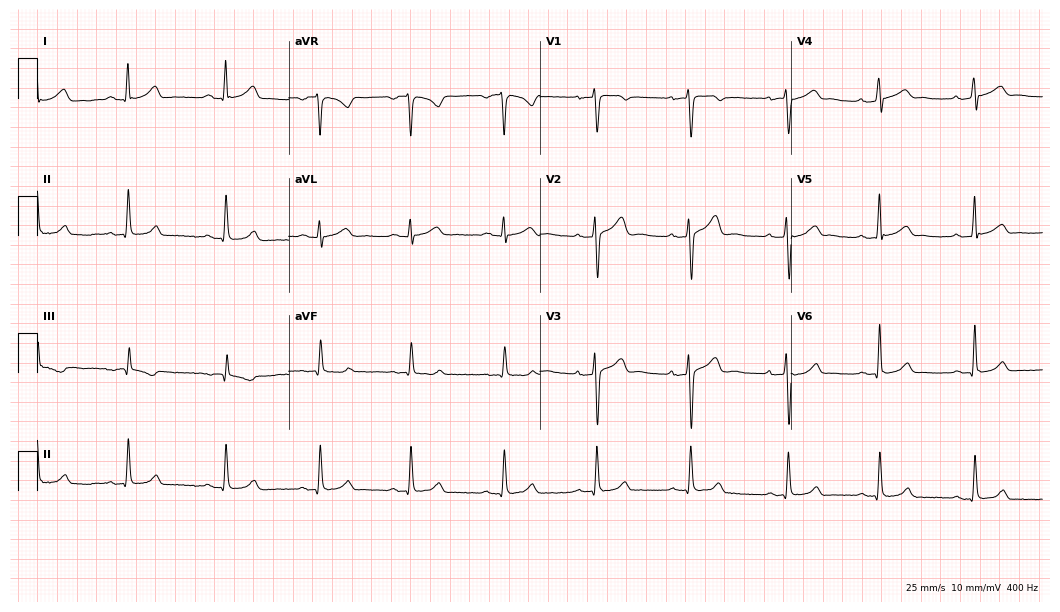
12-lead ECG (10.2-second recording at 400 Hz) from a male patient, 33 years old. Labelled as a normal ECG.